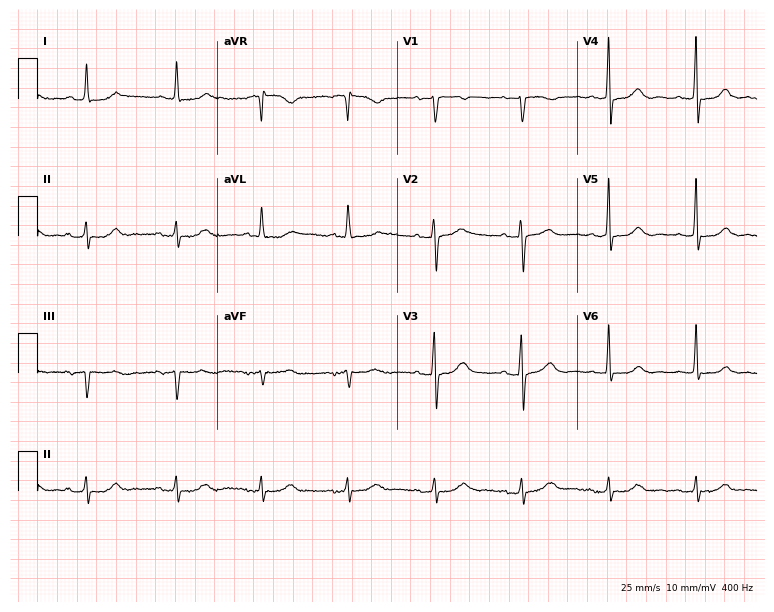
Standard 12-lead ECG recorded from a female patient, 79 years old (7.3-second recording at 400 Hz). None of these six findings is recorded: first-degree AV block, right bundle branch block, left bundle branch block, sinus bradycardia, atrial fibrillation, sinus tachycardia. Only these six findings were labelled.